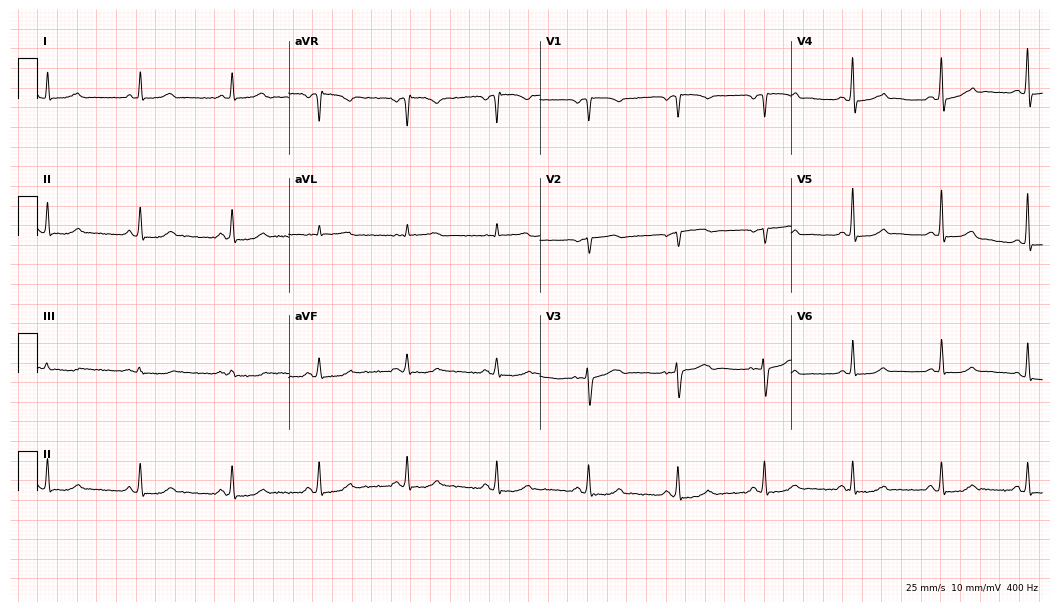
ECG (10.2-second recording at 400 Hz) — a female, 57 years old. Screened for six findings — first-degree AV block, right bundle branch block, left bundle branch block, sinus bradycardia, atrial fibrillation, sinus tachycardia — none is recorded.